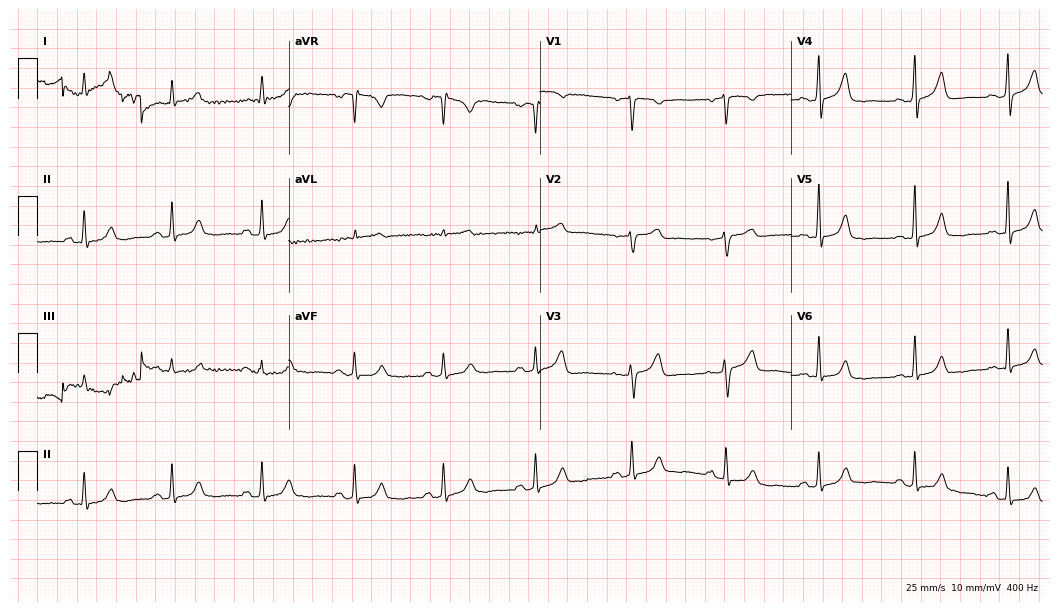
ECG — a 69-year-old woman. Labelled as a normal ECG.